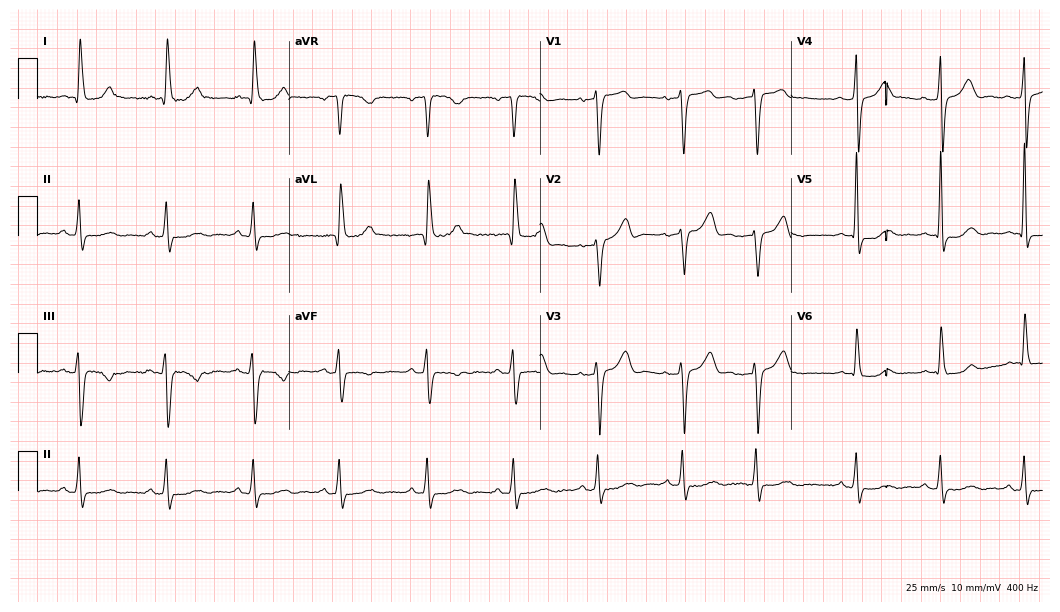
ECG — a 73-year-old female patient. Screened for six findings — first-degree AV block, right bundle branch block, left bundle branch block, sinus bradycardia, atrial fibrillation, sinus tachycardia — none is recorded.